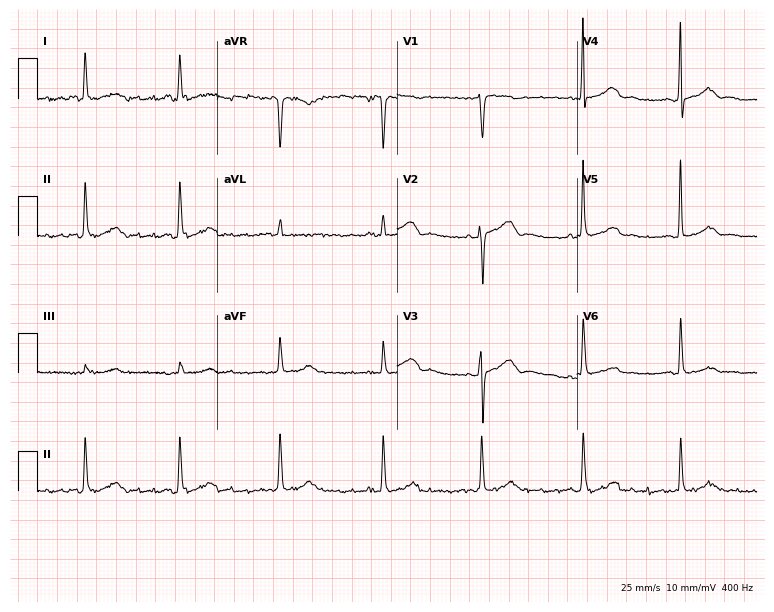
Electrocardiogram, a female, 71 years old. Of the six screened findings (first-degree AV block, right bundle branch block, left bundle branch block, sinus bradycardia, atrial fibrillation, sinus tachycardia), none is recorded.